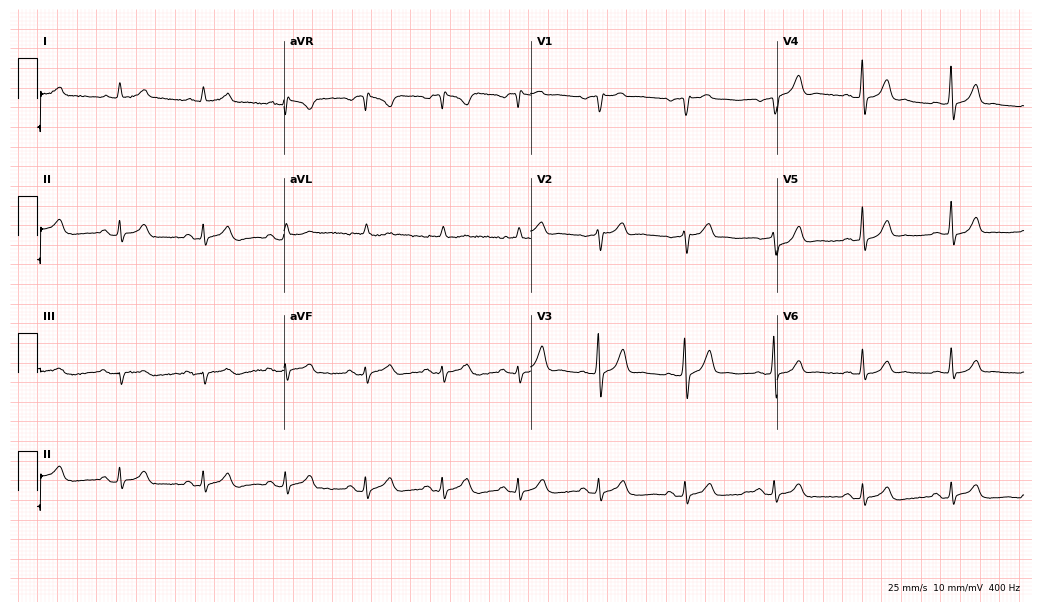
Resting 12-lead electrocardiogram. Patient: a male, 84 years old. Read as a normal ECG.